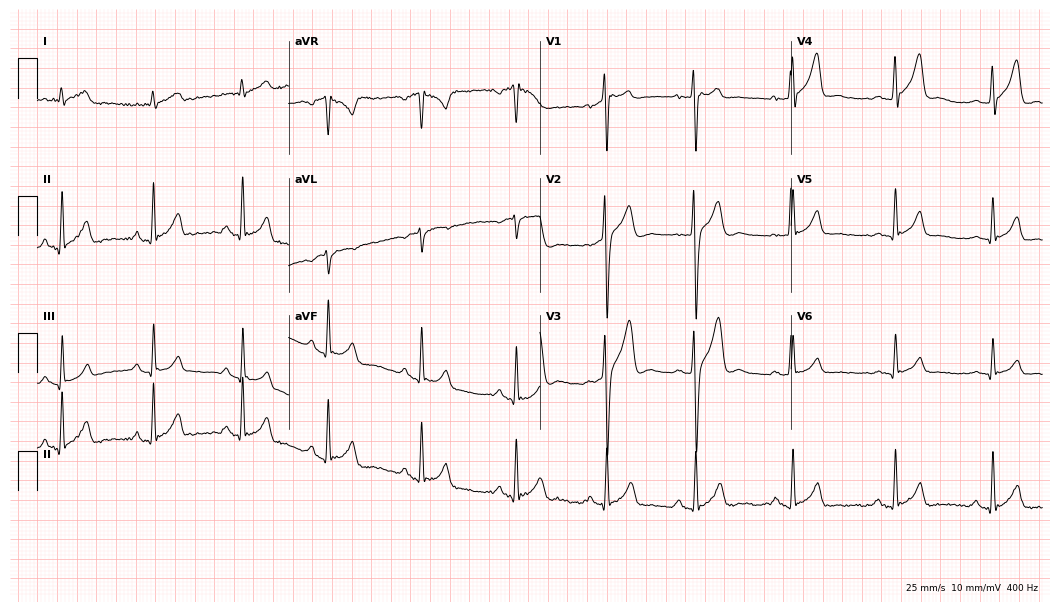
12-lead ECG (10.2-second recording at 400 Hz) from a male, 26 years old. Labelled as a normal ECG.